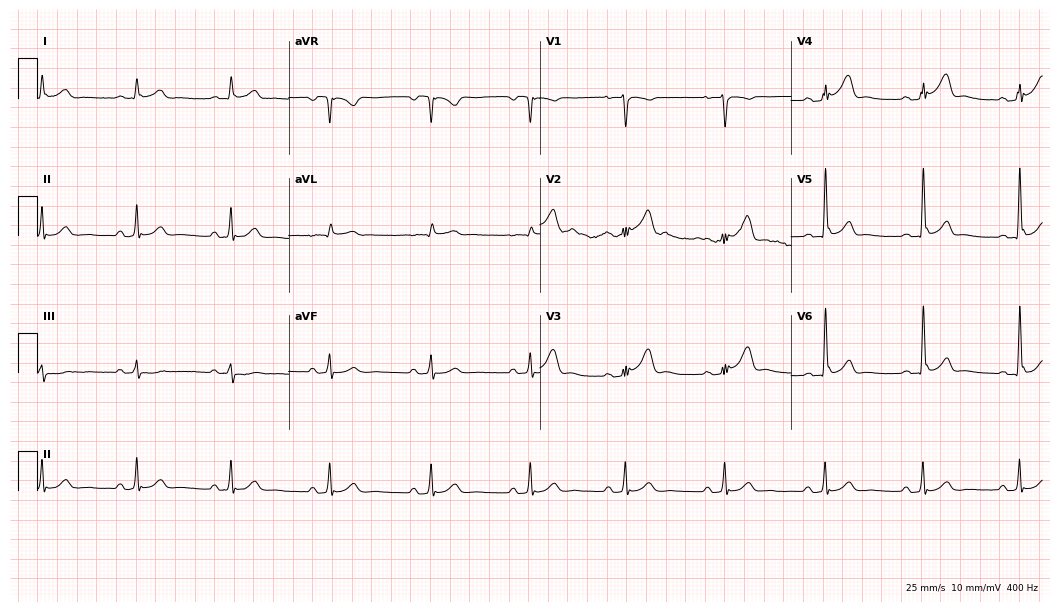
12-lead ECG from a 27-year-old male. Labelled as a normal ECG.